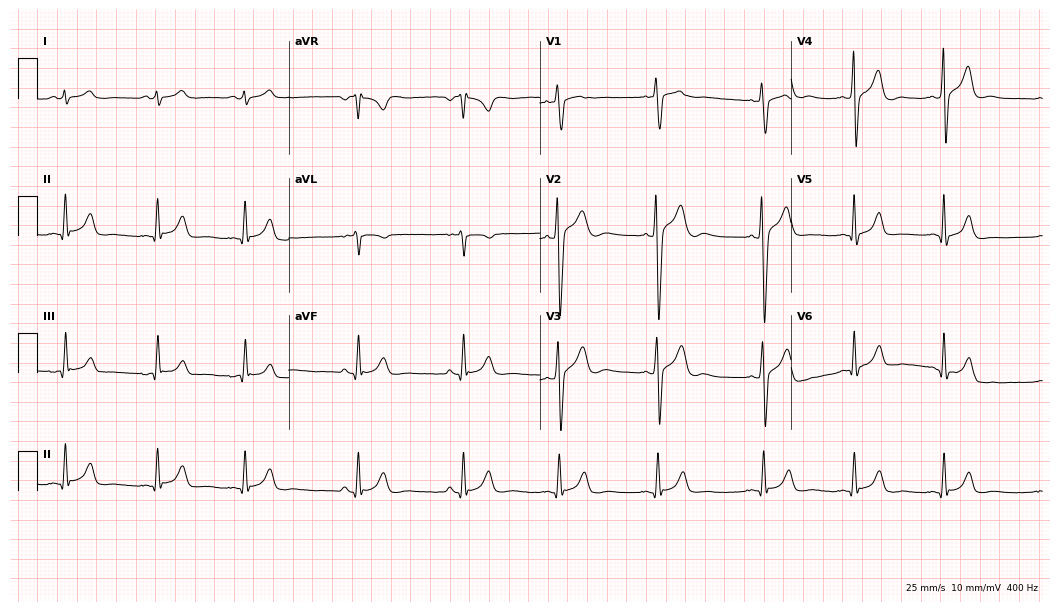
Resting 12-lead electrocardiogram (10.2-second recording at 400 Hz). Patient: a 17-year-old man. Read as a normal ECG.